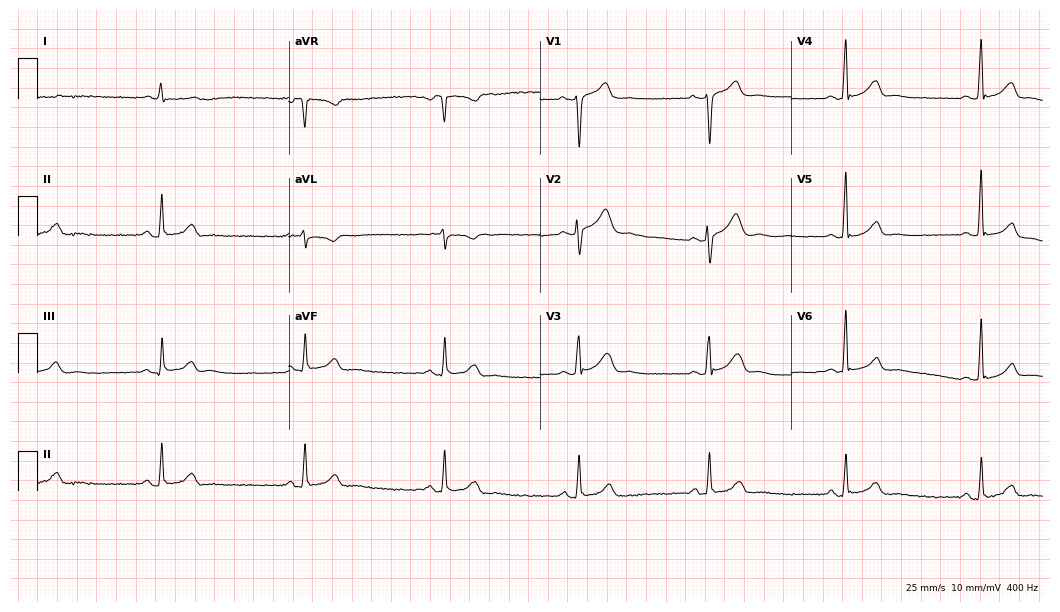
12-lead ECG from a man, 36 years old. Screened for six findings — first-degree AV block, right bundle branch block, left bundle branch block, sinus bradycardia, atrial fibrillation, sinus tachycardia — none is recorded. Only these six findings were labelled.